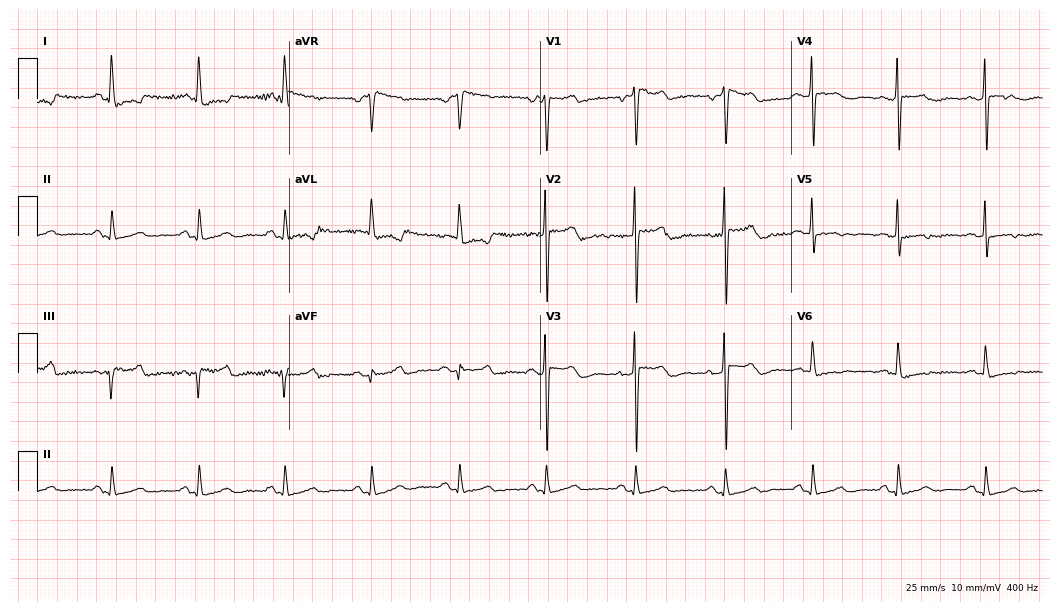
Resting 12-lead electrocardiogram. Patient: a woman, 76 years old. None of these six findings is recorded: first-degree AV block, right bundle branch block, left bundle branch block, sinus bradycardia, atrial fibrillation, sinus tachycardia. Findings outside these six are not listed.